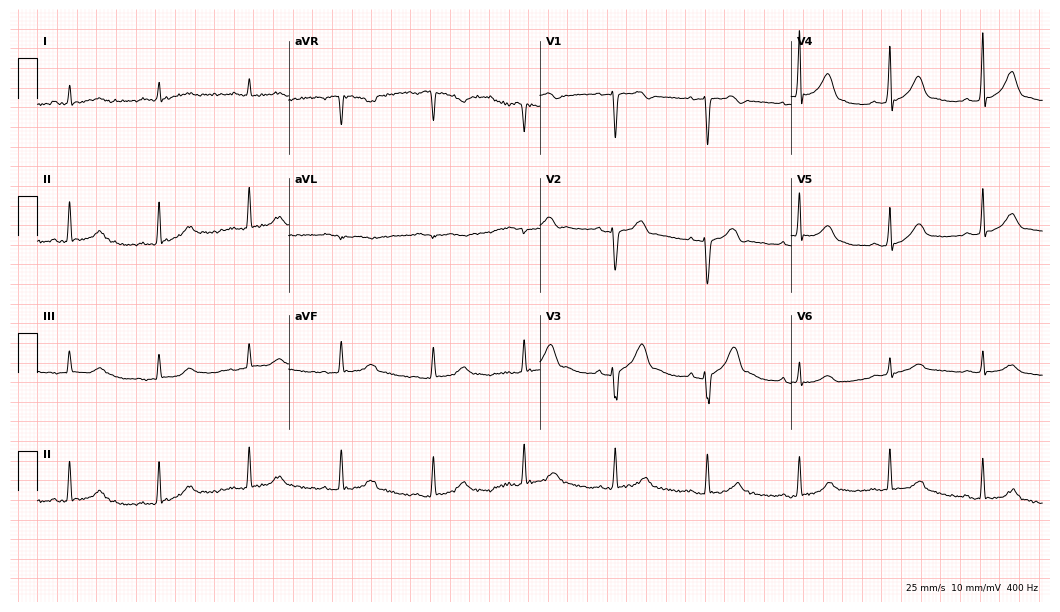
Resting 12-lead electrocardiogram. Patient: a 60-year-old man. Read as a normal ECG.